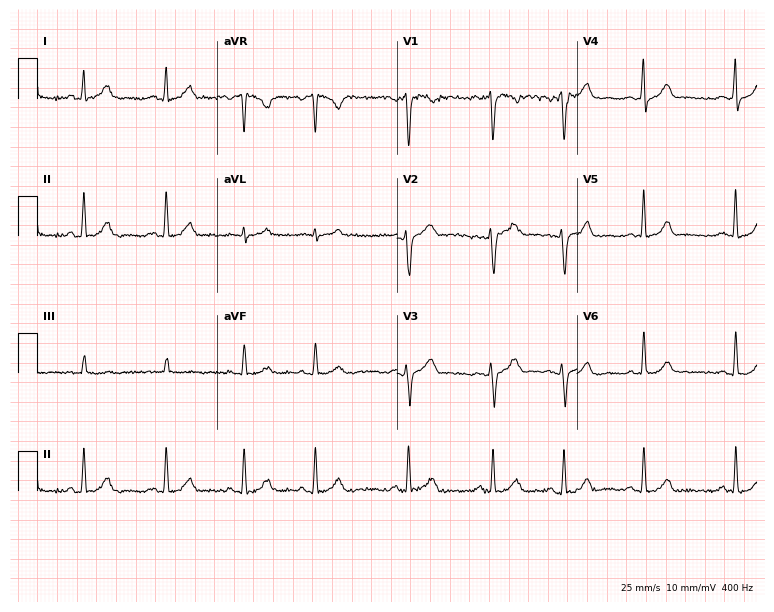
Electrocardiogram (7.3-second recording at 400 Hz), a female, 35 years old. Overall reading on record: normal ECG.